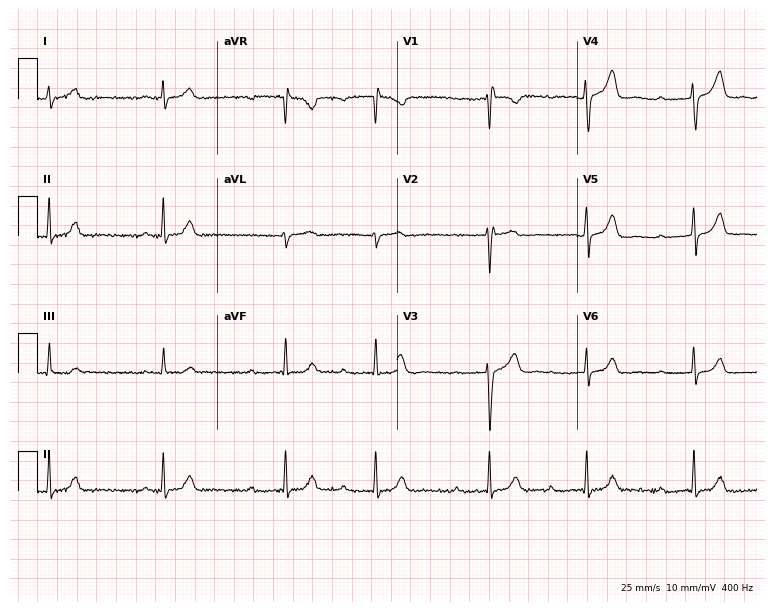
12-lead ECG from a female, 20 years old. Screened for six findings — first-degree AV block, right bundle branch block, left bundle branch block, sinus bradycardia, atrial fibrillation, sinus tachycardia — none is recorded.